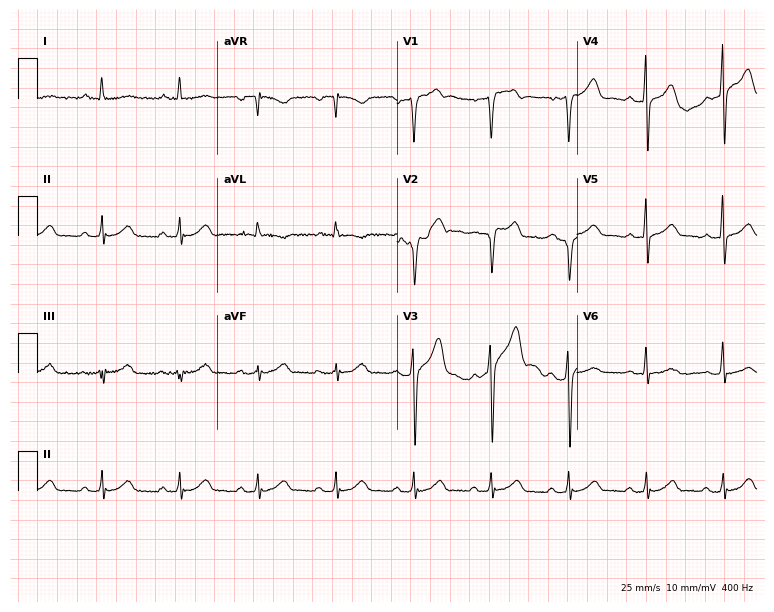
Electrocardiogram, a 55-year-old man. Of the six screened findings (first-degree AV block, right bundle branch block (RBBB), left bundle branch block (LBBB), sinus bradycardia, atrial fibrillation (AF), sinus tachycardia), none is recorded.